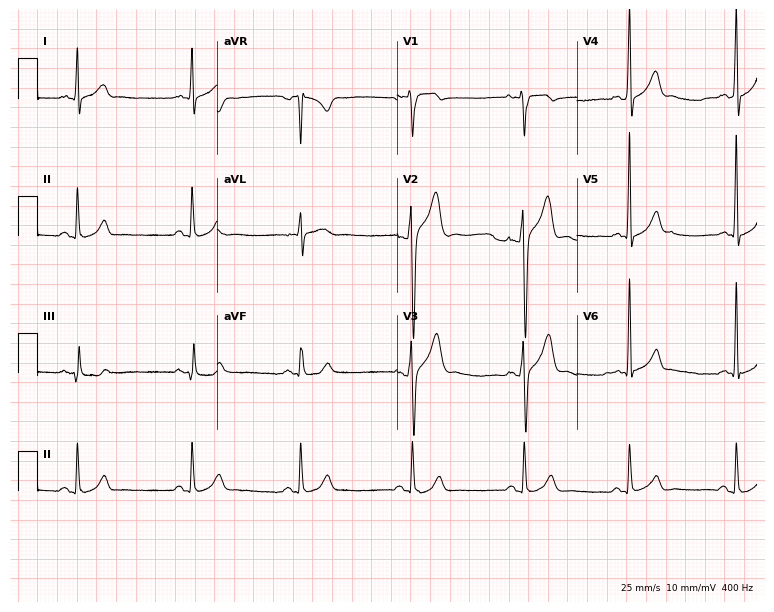
Electrocardiogram, a 26-year-old male patient. Overall reading on record: normal ECG.